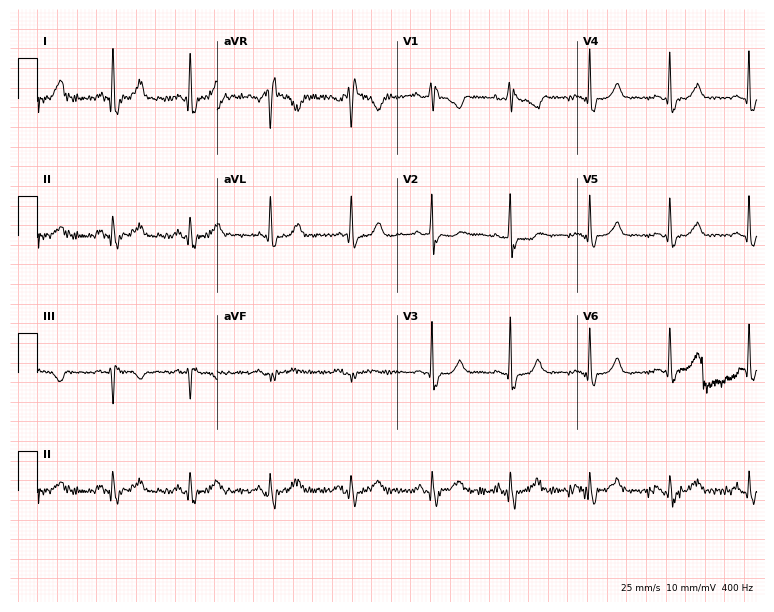
Electrocardiogram (7.3-second recording at 400 Hz), a female, 48 years old. Of the six screened findings (first-degree AV block, right bundle branch block, left bundle branch block, sinus bradycardia, atrial fibrillation, sinus tachycardia), none is recorded.